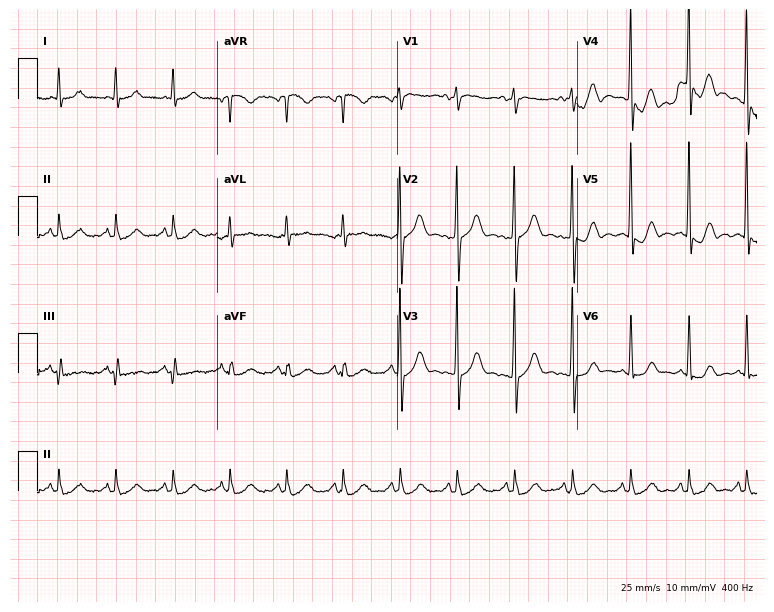
12-lead ECG from a male patient, 62 years old (7.3-second recording at 400 Hz). No first-degree AV block, right bundle branch block, left bundle branch block, sinus bradycardia, atrial fibrillation or sinus tachycardia recorded for this tracing.